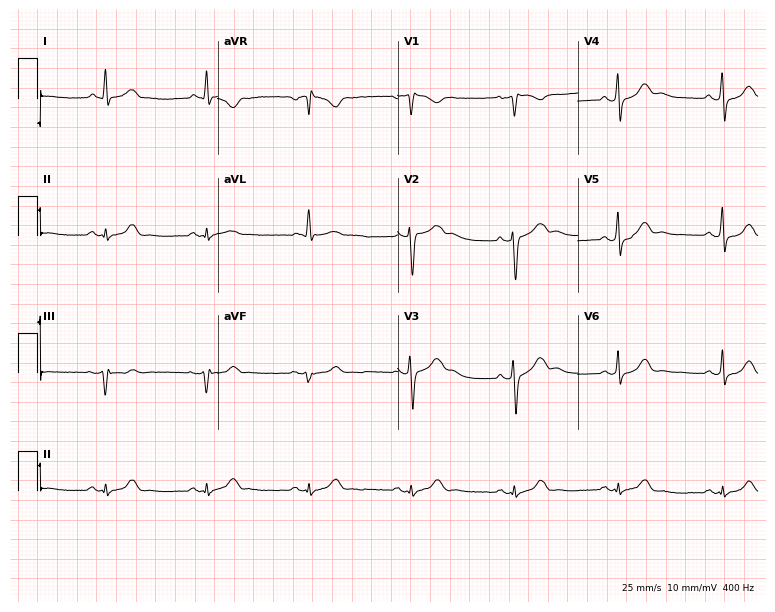
12-lead ECG from a male, 82 years old (7.3-second recording at 400 Hz). No first-degree AV block, right bundle branch block, left bundle branch block, sinus bradycardia, atrial fibrillation or sinus tachycardia recorded for this tracing.